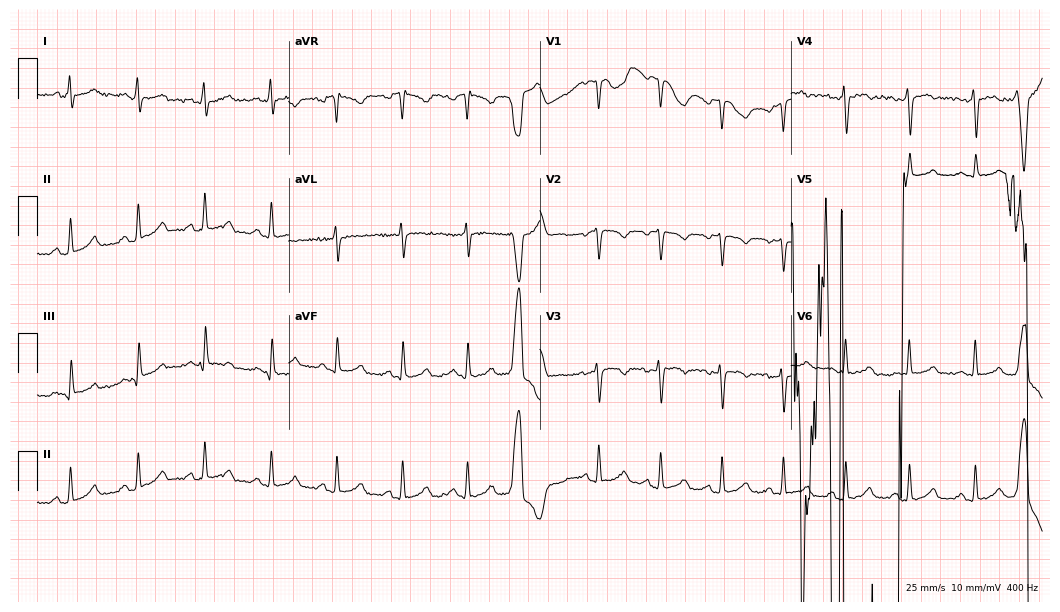
12-lead ECG from a female, 31 years old. No first-degree AV block, right bundle branch block, left bundle branch block, sinus bradycardia, atrial fibrillation or sinus tachycardia recorded for this tracing.